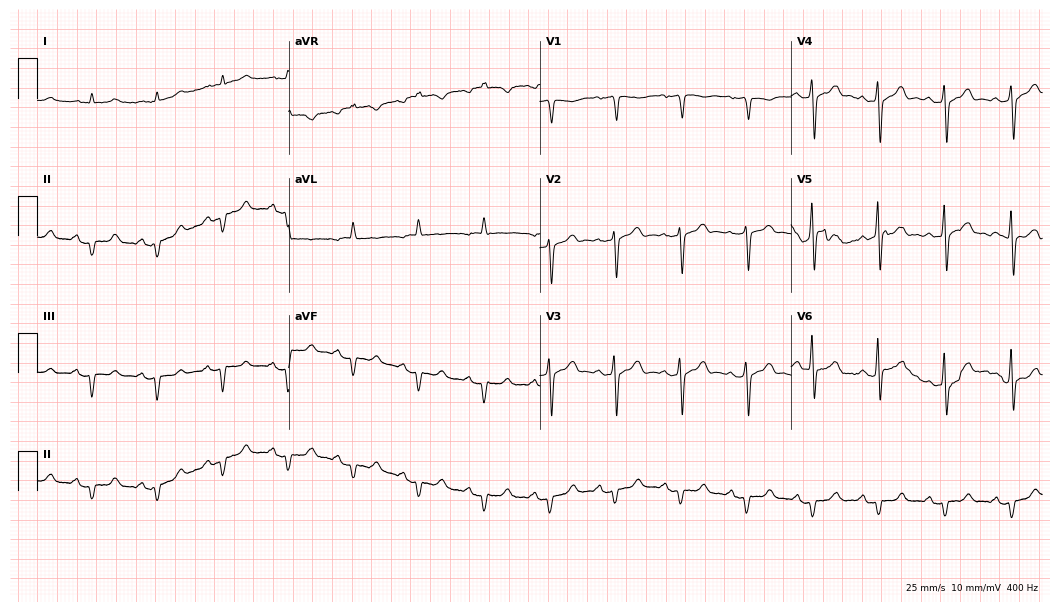
ECG — a 67-year-old female patient. Screened for six findings — first-degree AV block, right bundle branch block (RBBB), left bundle branch block (LBBB), sinus bradycardia, atrial fibrillation (AF), sinus tachycardia — none is recorded. Other findings, if any, are not listed.